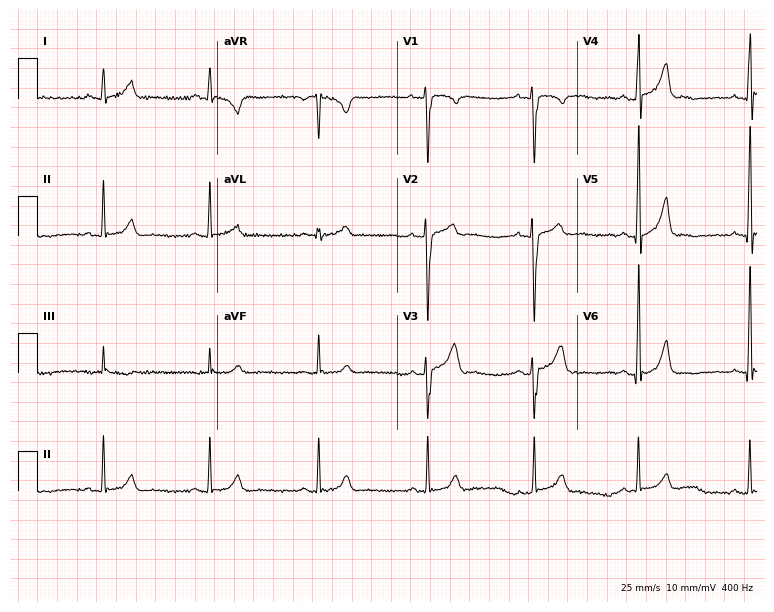
ECG — a 26-year-old man. Labelled as a normal ECG.